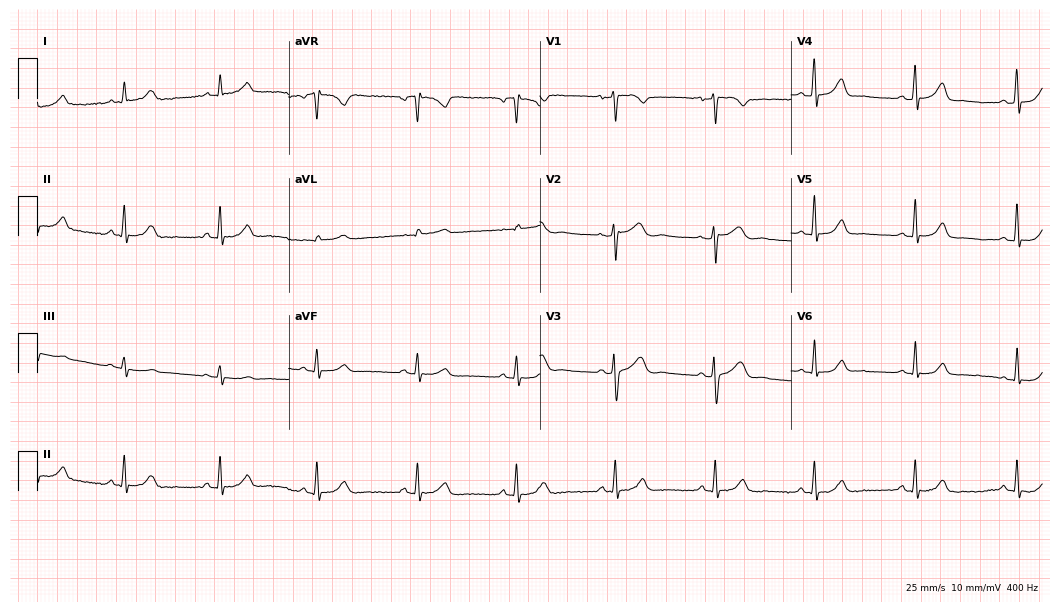
Standard 12-lead ECG recorded from a woman, 56 years old. Read as a normal ECG.